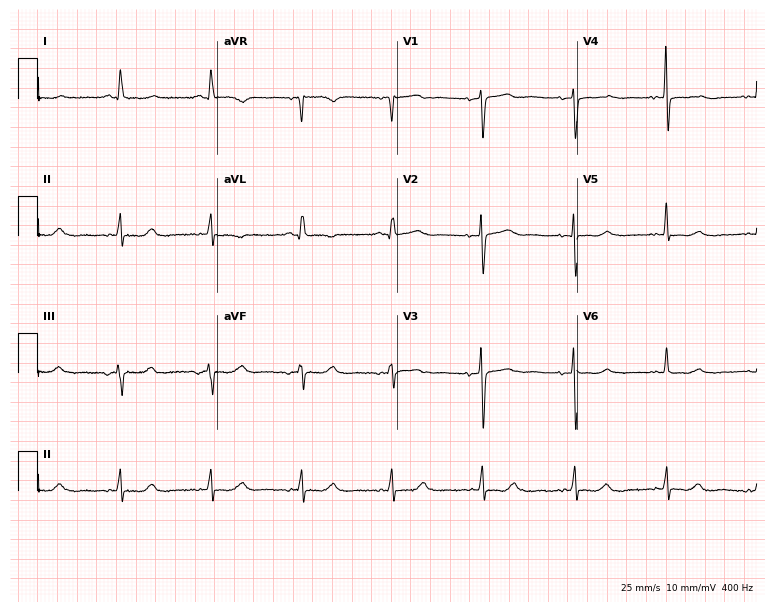
Standard 12-lead ECG recorded from a 66-year-old female patient (7.3-second recording at 400 Hz). Read as a normal ECG.